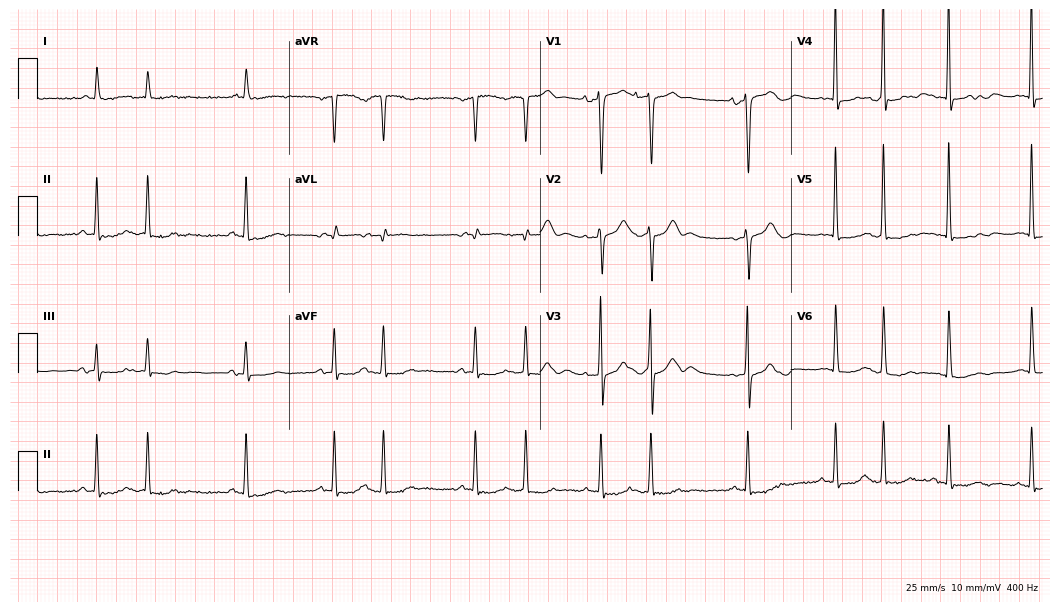
12-lead ECG from an 85-year-old female patient (10.2-second recording at 400 Hz). No first-degree AV block, right bundle branch block (RBBB), left bundle branch block (LBBB), sinus bradycardia, atrial fibrillation (AF) or sinus tachycardia recorded for this tracing. Other findings, if any, are not listed.